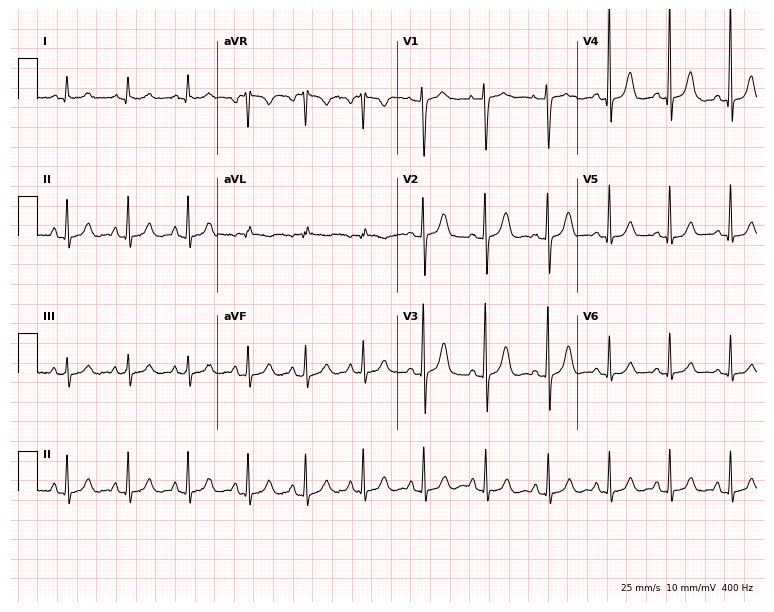
12-lead ECG (7.3-second recording at 400 Hz) from a female patient, 28 years old. Screened for six findings — first-degree AV block, right bundle branch block, left bundle branch block, sinus bradycardia, atrial fibrillation, sinus tachycardia — none is recorded.